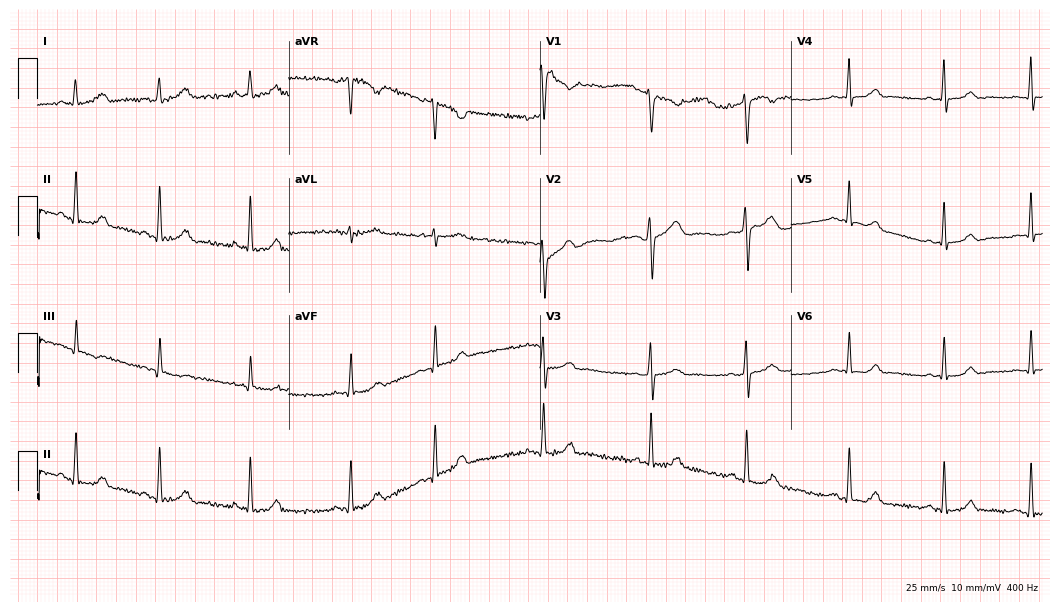
Electrocardiogram (10.2-second recording at 400 Hz), a woman, 22 years old. Of the six screened findings (first-degree AV block, right bundle branch block, left bundle branch block, sinus bradycardia, atrial fibrillation, sinus tachycardia), none is recorded. Only these six findings were labelled.